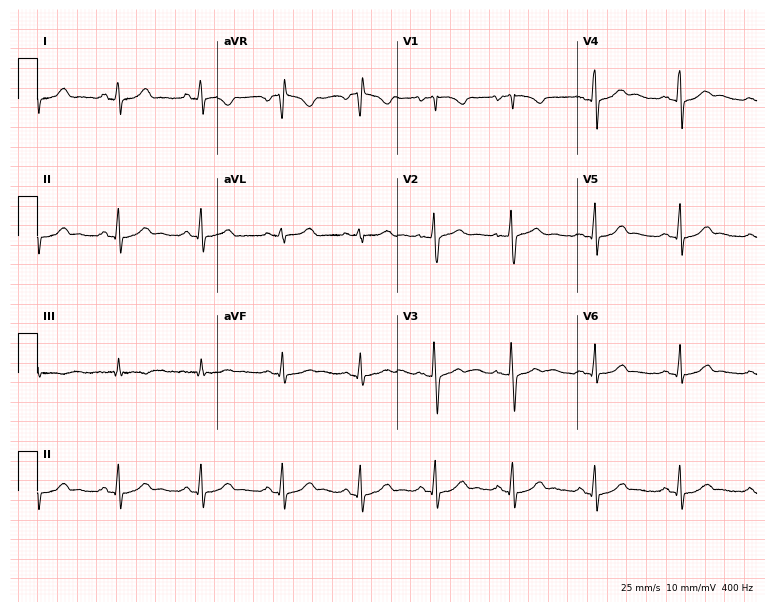
12-lead ECG (7.3-second recording at 400 Hz) from a 21-year-old female patient. Labelled as a normal ECG.